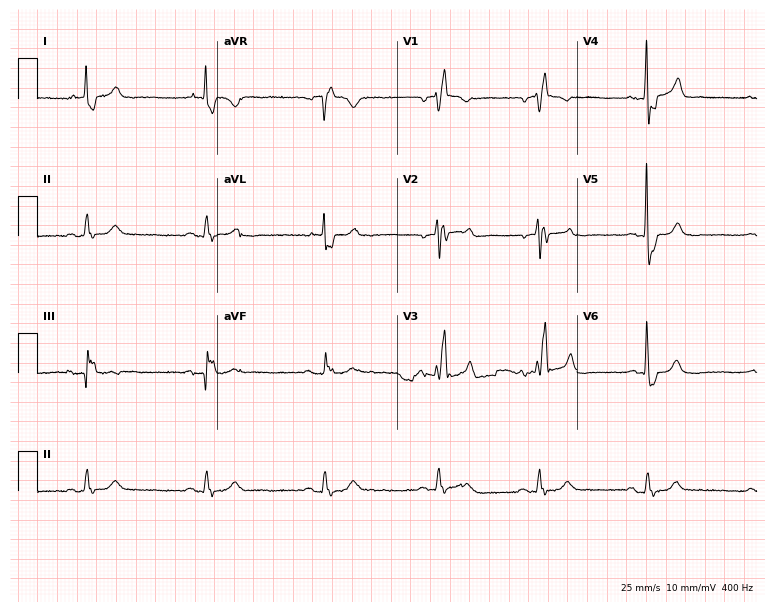
12-lead ECG (7.3-second recording at 400 Hz) from a 72-year-old male patient. Findings include right bundle branch block (RBBB).